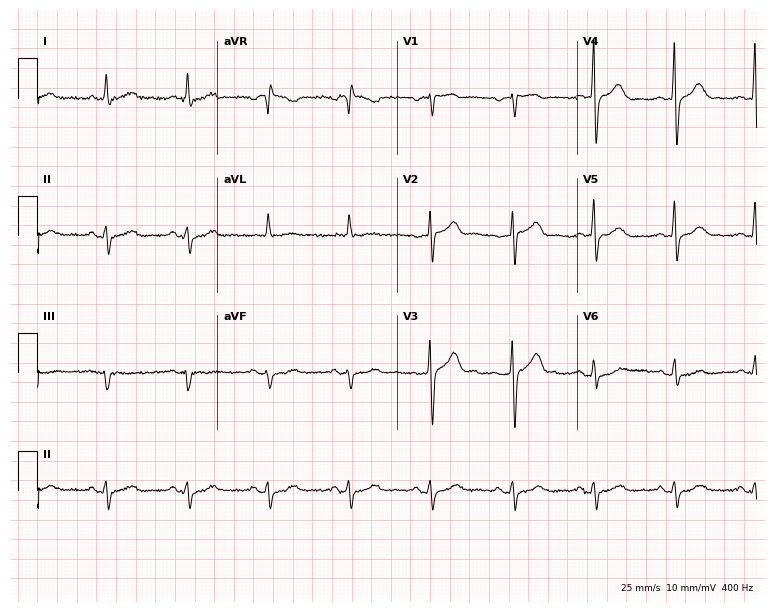
Resting 12-lead electrocardiogram. Patient: a 70-year-old man. None of these six findings is recorded: first-degree AV block, right bundle branch block, left bundle branch block, sinus bradycardia, atrial fibrillation, sinus tachycardia. Other findings, if any, are not listed.